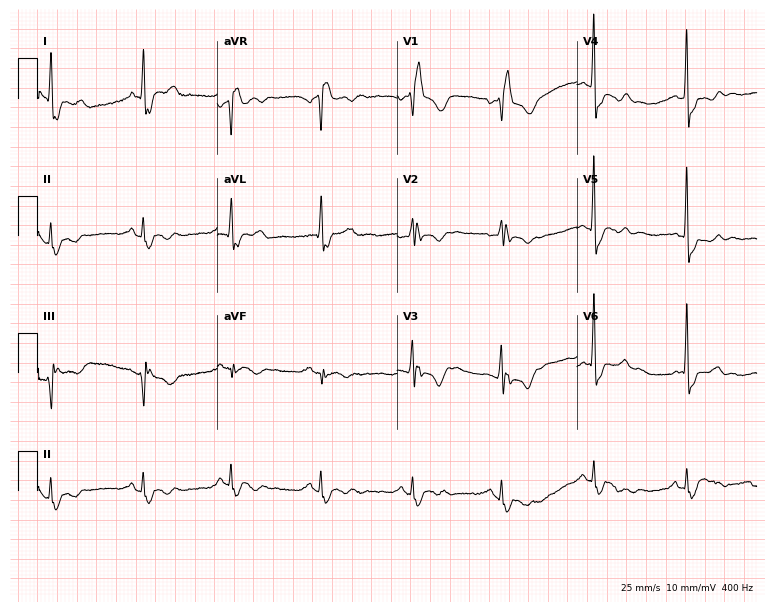
ECG — a female, 54 years old. Findings include right bundle branch block.